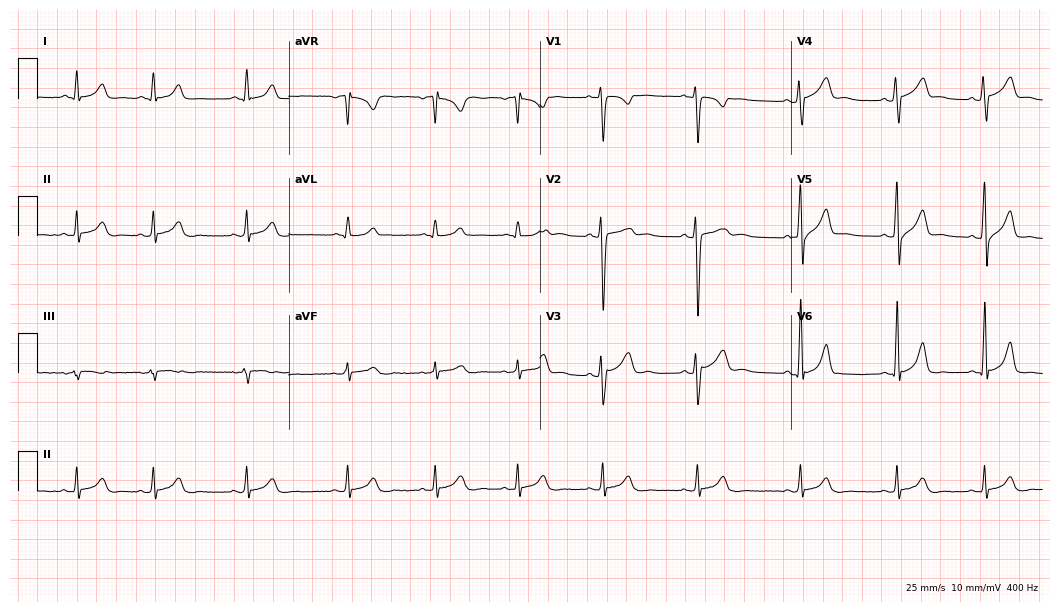
Resting 12-lead electrocardiogram (10.2-second recording at 400 Hz). Patient: a 24-year-old female. Read as a normal ECG.